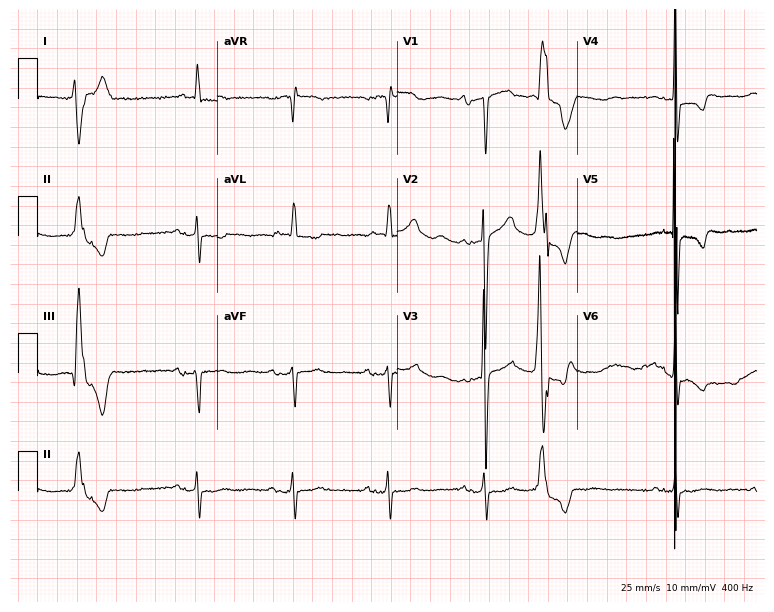
Standard 12-lead ECG recorded from a female, 84 years old. None of these six findings is recorded: first-degree AV block, right bundle branch block (RBBB), left bundle branch block (LBBB), sinus bradycardia, atrial fibrillation (AF), sinus tachycardia.